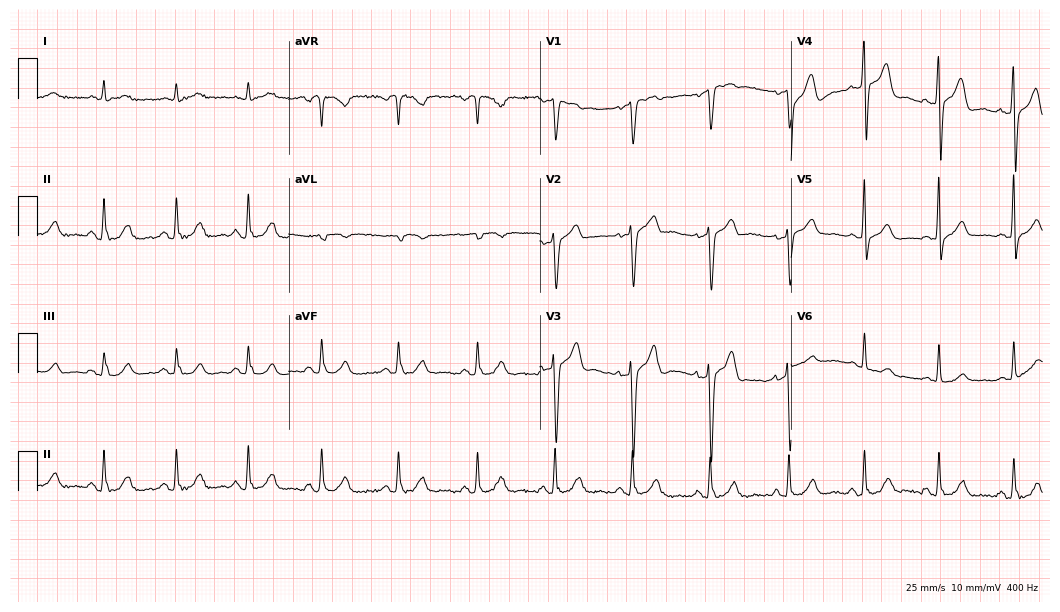
Resting 12-lead electrocardiogram (10.2-second recording at 400 Hz). Patient: a 63-year-old male. Read as a normal ECG.